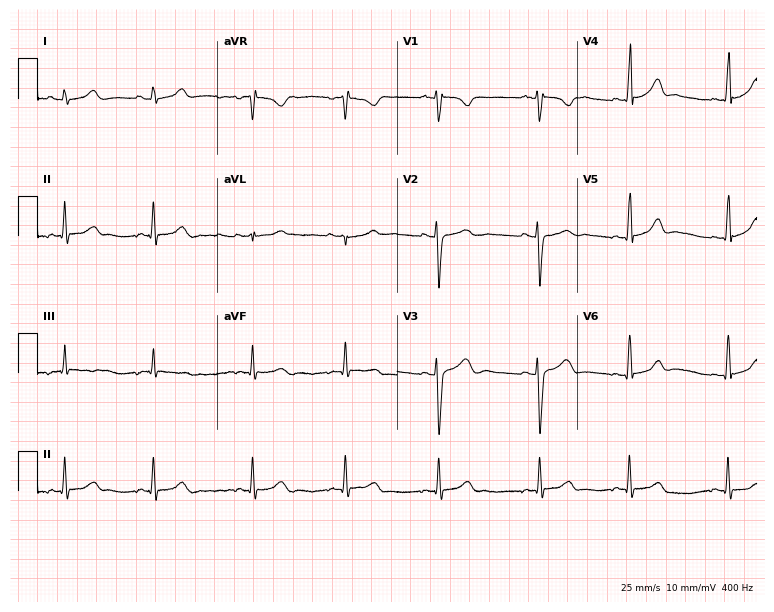
Electrocardiogram, a woman, 20 years old. Overall reading on record: normal ECG.